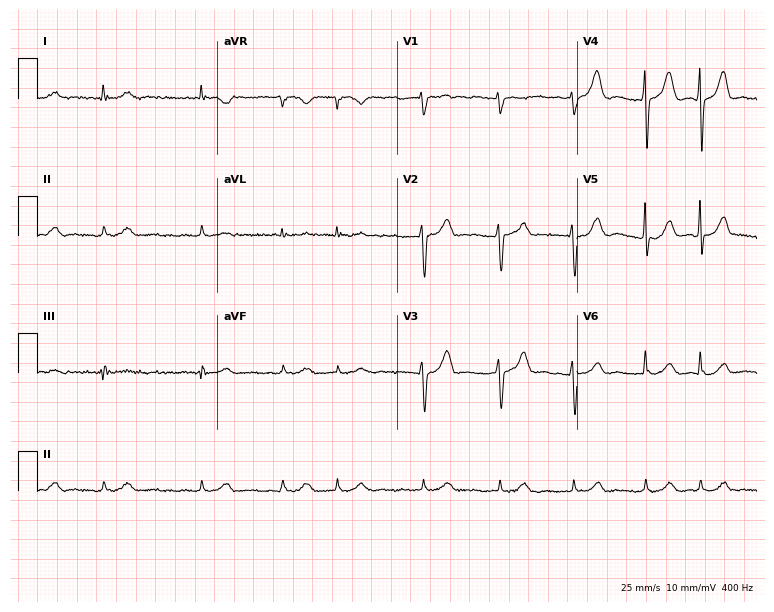
ECG (7.3-second recording at 400 Hz) — a 78-year-old man. Findings include atrial fibrillation.